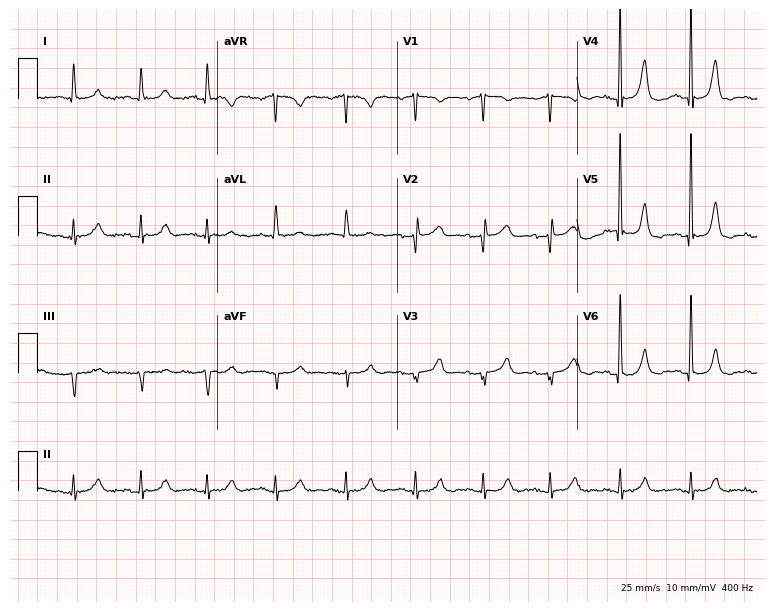
12-lead ECG from an 81-year-old female patient (7.3-second recording at 400 Hz). No first-degree AV block, right bundle branch block (RBBB), left bundle branch block (LBBB), sinus bradycardia, atrial fibrillation (AF) or sinus tachycardia recorded for this tracing.